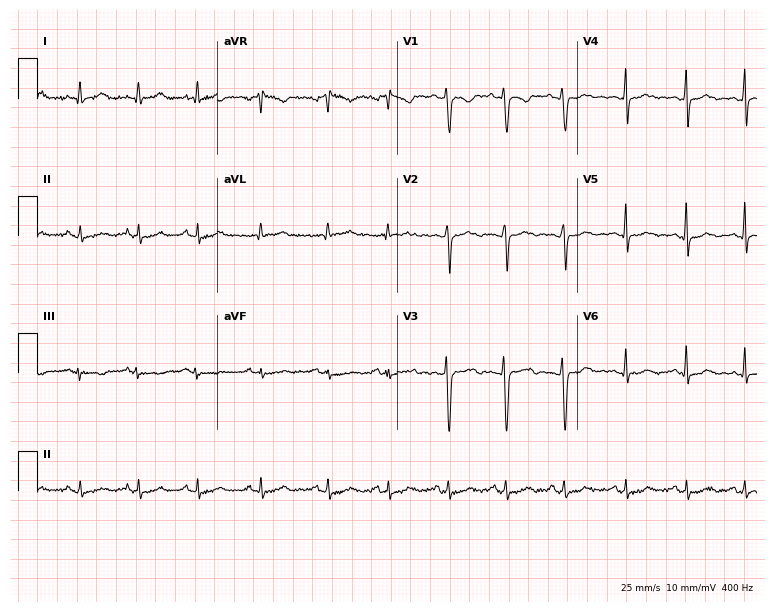
Standard 12-lead ECG recorded from a 34-year-old female patient (7.3-second recording at 400 Hz). None of these six findings is recorded: first-degree AV block, right bundle branch block (RBBB), left bundle branch block (LBBB), sinus bradycardia, atrial fibrillation (AF), sinus tachycardia. Other findings, if any, are not listed.